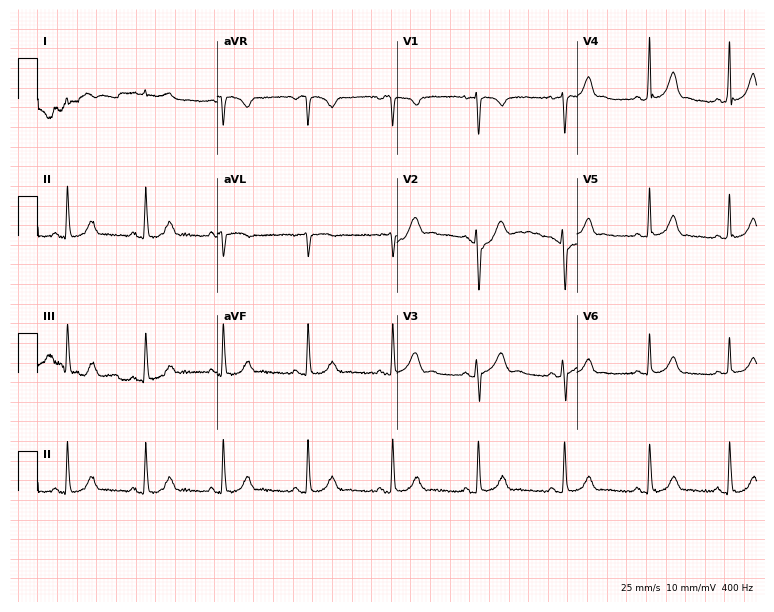
12-lead ECG from a female patient, 18 years old. Recorded interpretation: within normal limits.